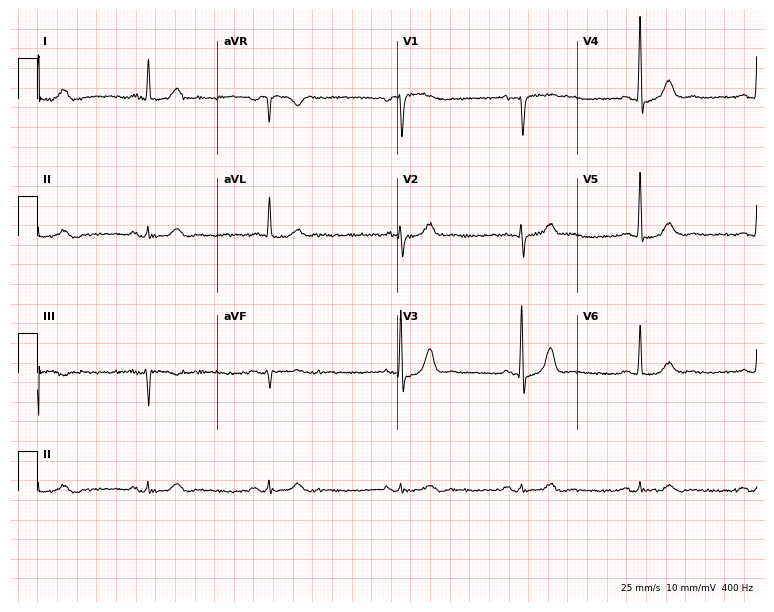
ECG (7.3-second recording at 400 Hz) — a 75-year-old male patient. Labelled as a normal ECG.